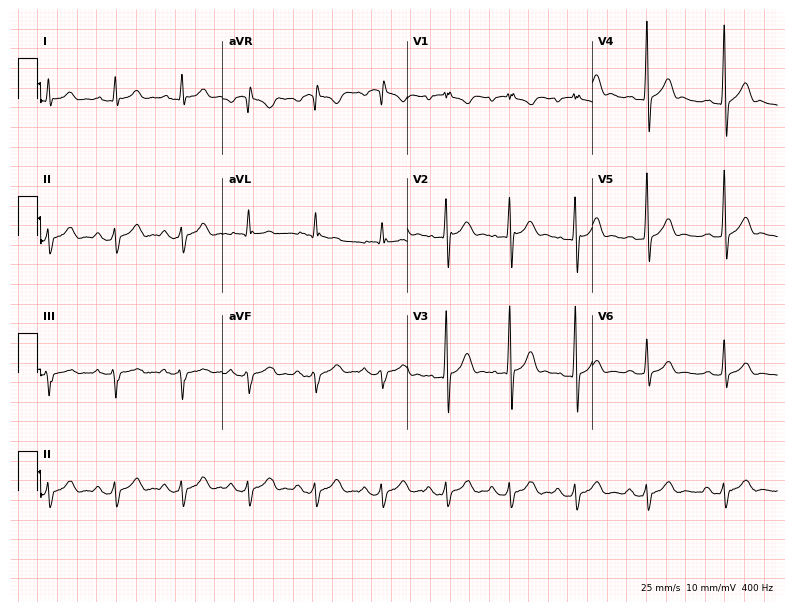
ECG (7.5-second recording at 400 Hz) — a male, 25 years old. Screened for six findings — first-degree AV block, right bundle branch block, left bundle branch block, sinus bradycardia, atrial fibrillation, sinus tachycardia — none is recorded. Other findings, if any, are not listed.